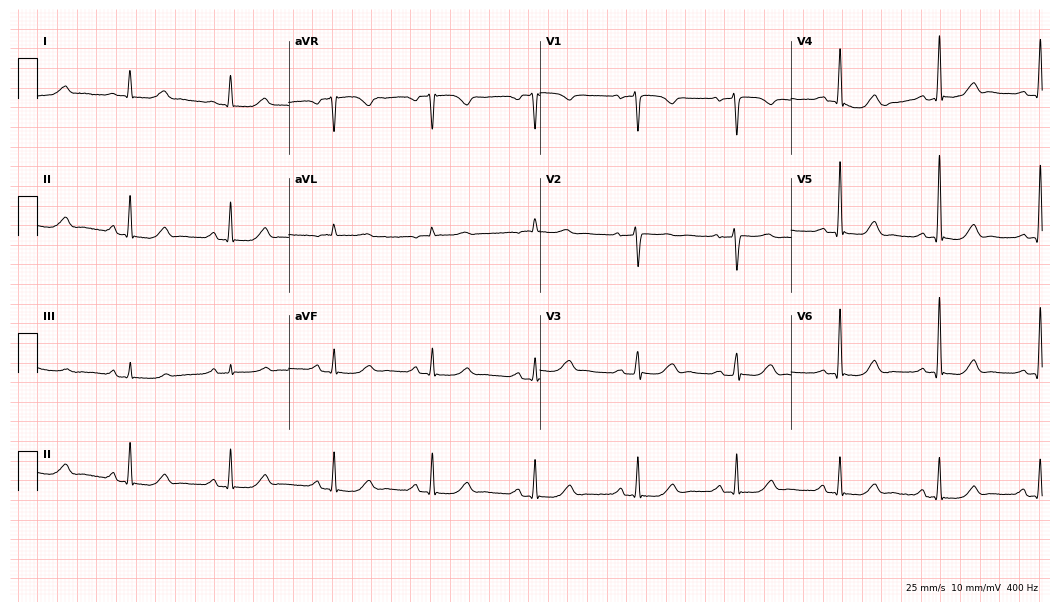
12-lead ECG from a woman, 59 years old. Screened for six findings — first-degree AV block, right bundle branch block, left bundle branch block, sinus bradycardia, atrial fibrillation, sinus tachycardia — none is recorded. Only these six findings were labelled.